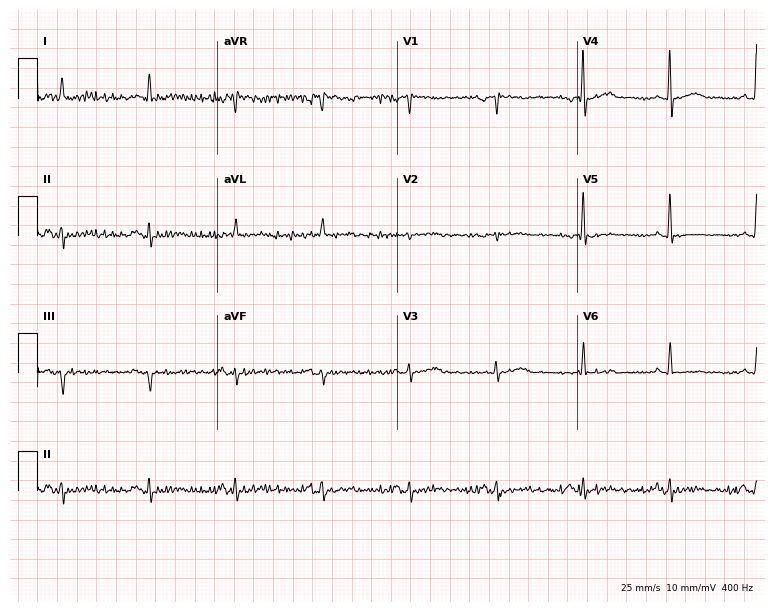
Electrocardiogram, a 60-year-old male. Of the six screened findings (first-degree AV block, right bundle branch block (RBBB), left bundle branch block (LBBB), sinus bradycardia, atrial fibrillation (AF), sinus tachycardia), none is recorded. Only these six findings were labelled.